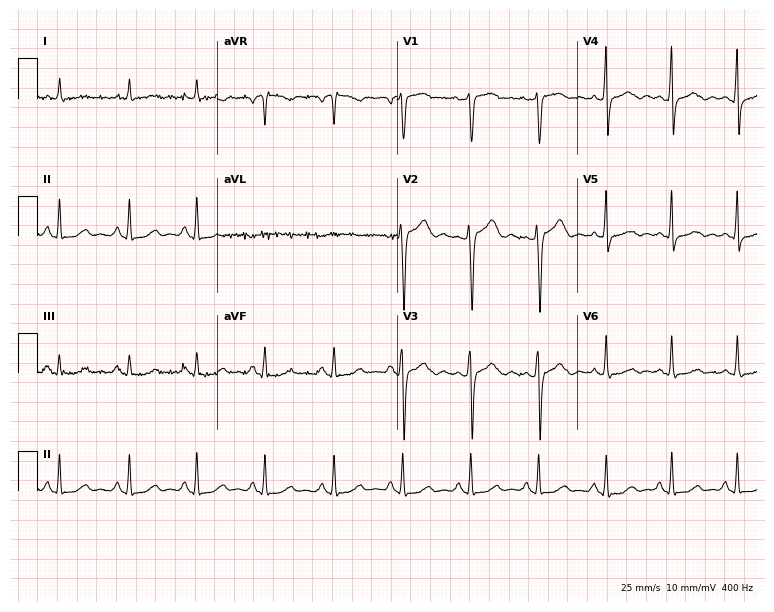
12-lead ECG from a 57-year-old female patient. Screened for six findings — first-degree AV block, right bundle branch block, left bundle branch block, sinus bradycardia, atrial fibrillation, sinus tachycardia — none is recorded. Only these six findings were labelled.